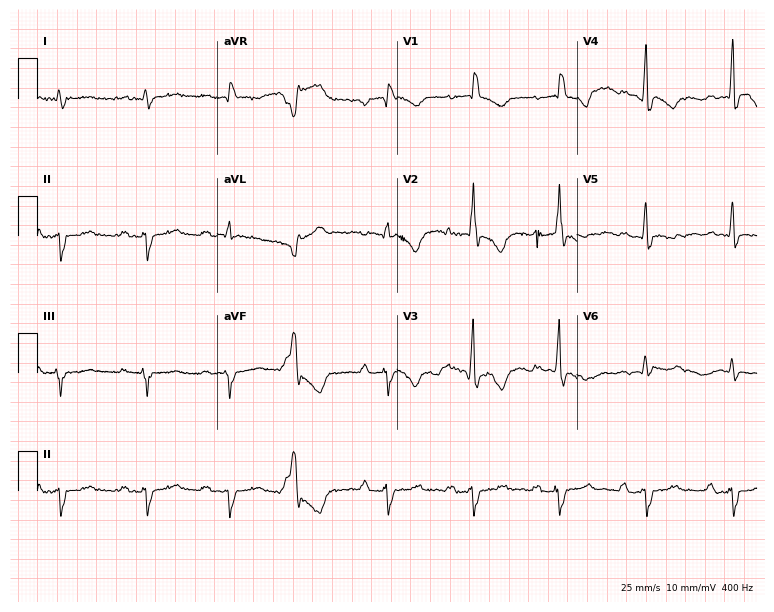
Electrocardiogram, a 66-year-old male patient. Interpretation includes first-degree AV block, right bundle branch block.